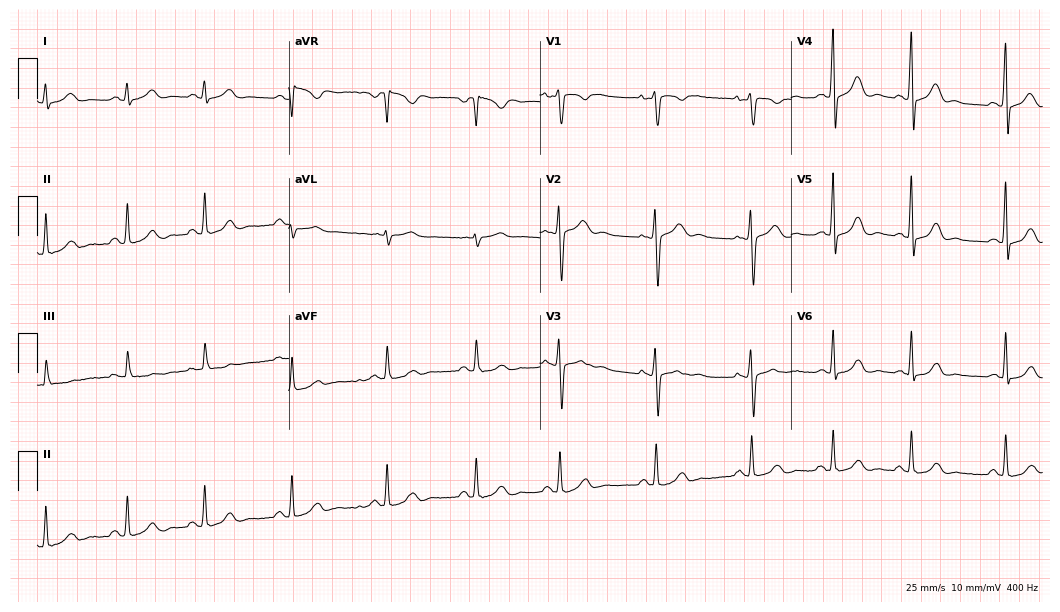
12-lead ECG from a 30-year-old woman. Labelled as a normal ECG.